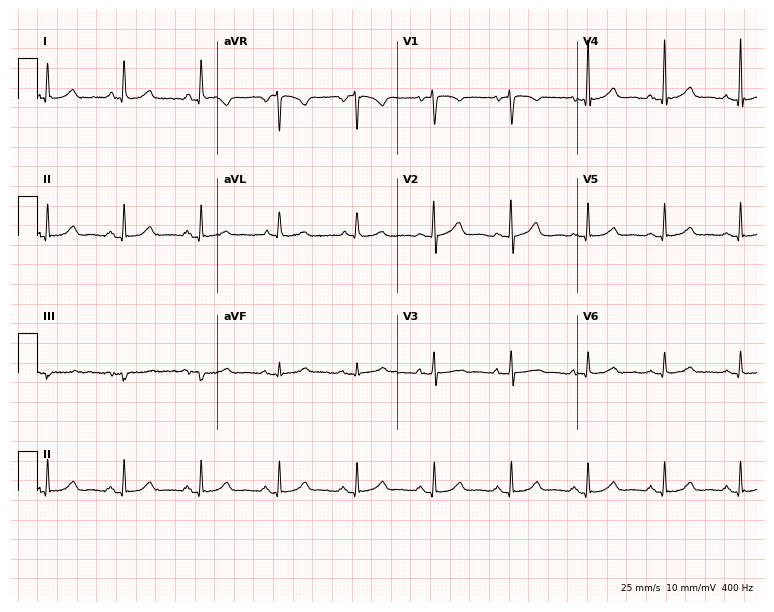
12-lead ECG (7.3-second recording at 400 Hz) from a 66-year-old female patient. Labelled as a normal ECG.